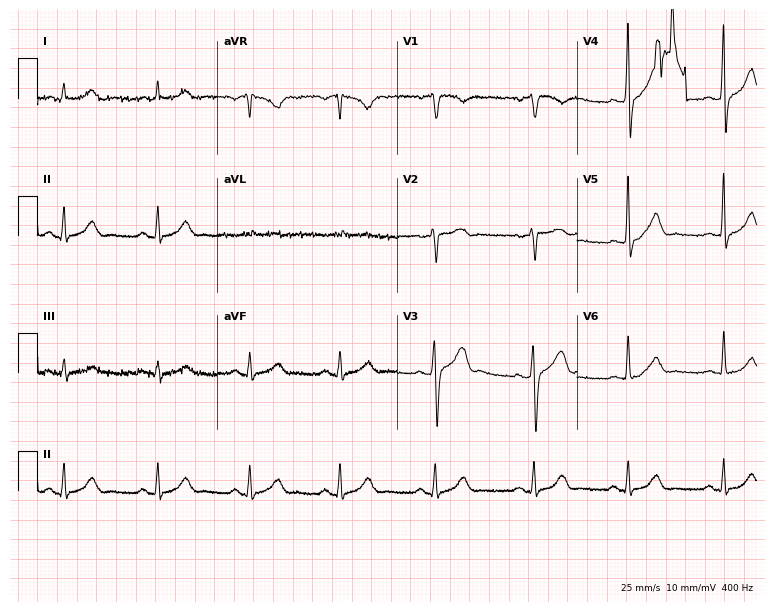
Electrocardiogram (7.3-second recording at 400 Hz), a man, 59 years old. Of the six screened findings (first-degree AV block, right bundle branch block, left bundle branch block, sinus bradycardia, atrial fibrillation, sinus tachycardia), none is recorded.